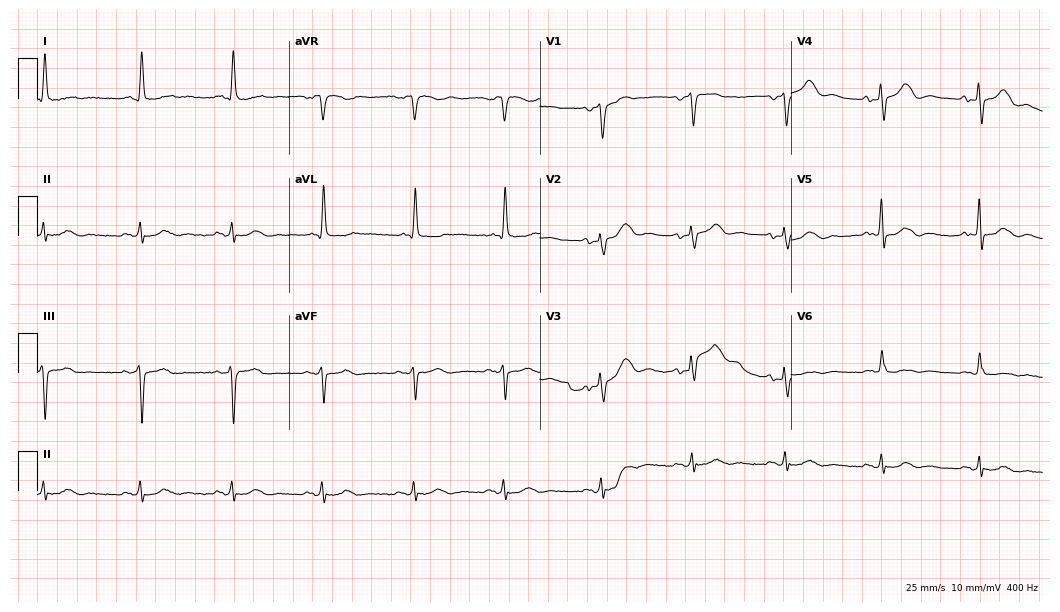
12-lead ECG (10.2-second recording at 400 Hz) from a male, 77 years old. Screened for six findings — first-degree AV block, right bundle branch block, left bundle branch block, sinus bradycardia, atrial fibrillation, sinus tachycardia — none is recorded.